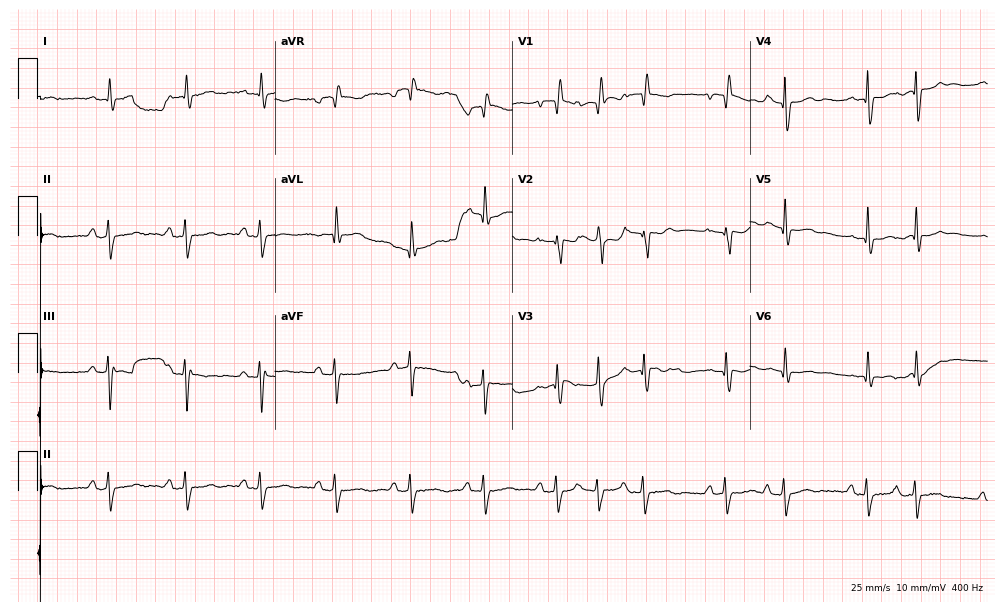
12-lead ECG from a female patient, 63 years old. No first-degree AV block, right bundle branch block, left bundle branch block, sinus bradycardia, atrial fibrillation or sinus tachycardia recorded for this tracing. Other findings, if any, are not listed.